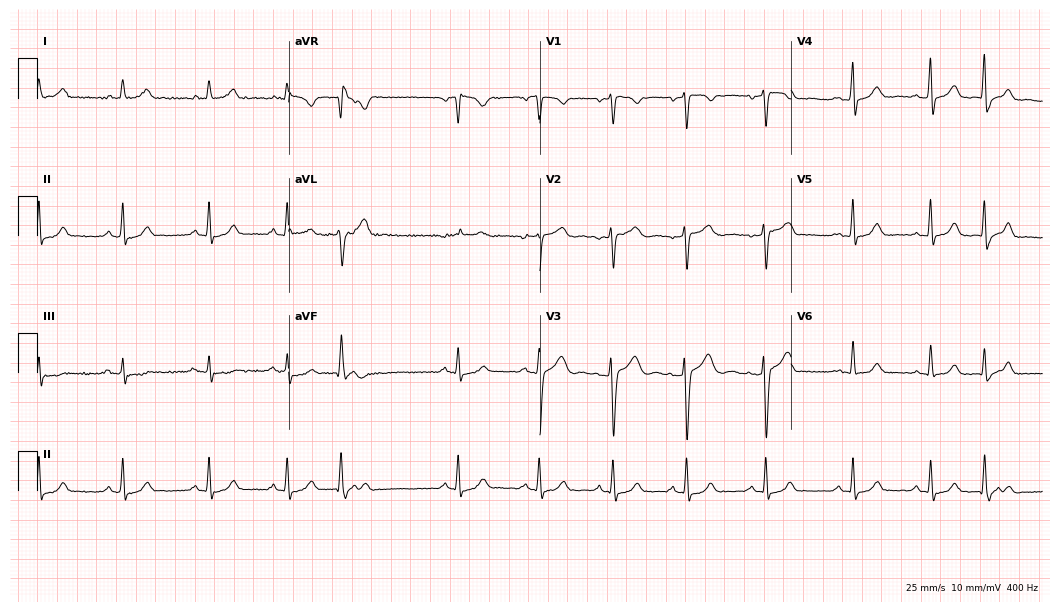
Resting 12-lead electrocardiogram (10.2-second recording at 400 Hz). Patient: a female, 23 years old. None of these six findings is recorded: first-degree AV block, right bundle branch block, left bundle branch block, sinus bradycardia, atrial fibrillation, sinus tachycardia.